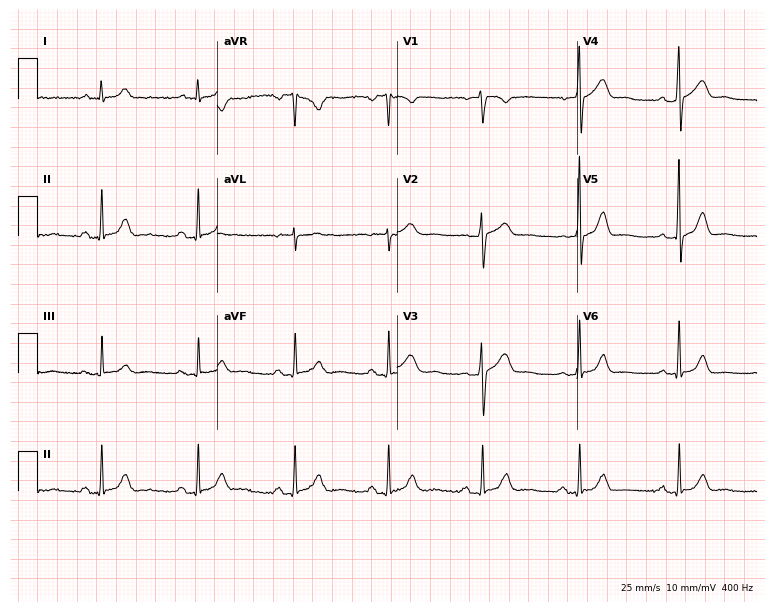
Standard 12-lead ECG recorded from a female, 36 years old (7.3-second recording at 400 Hz). None of these six findings is recorded: first-degree AV block, right bundle branch block, left bundle branch block, sinus bradycardia, atrial fibrillation, sinus tachycardia.